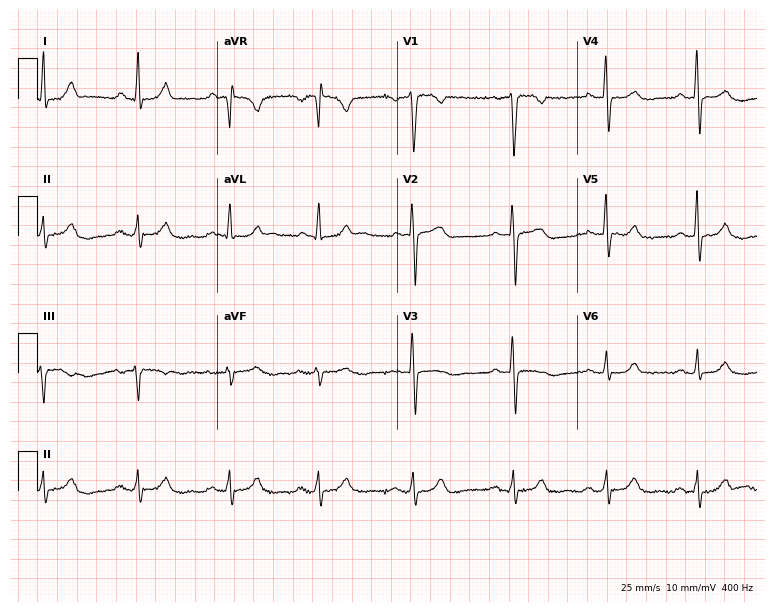
Electrocardiogram (7.3-second recording at 400 Hz), a 47-year-old man. Of the six screened findings (first-degree AV block, right bundle branch block, left bundle branch block, sinus bradycardia, atrial fibrillation, sinus tachycardia), none is recorded.